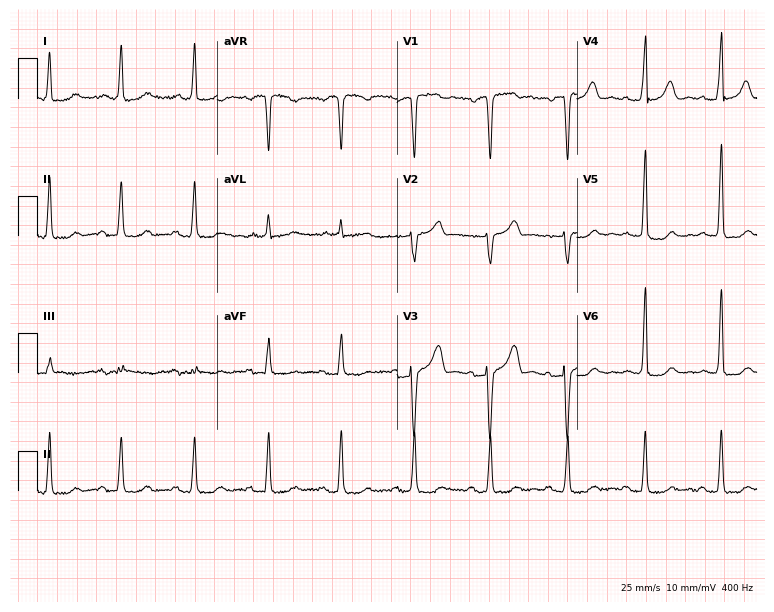
Electrocardiogram (7.3-second recording at 400 Hz), a 53-year-old female. Of the six screened findings (first-degree AV block, right bundle branch block, left bundle branch block, sinus bradycardia, atrial fibrillation, sinus tachycardia), none is recorded.